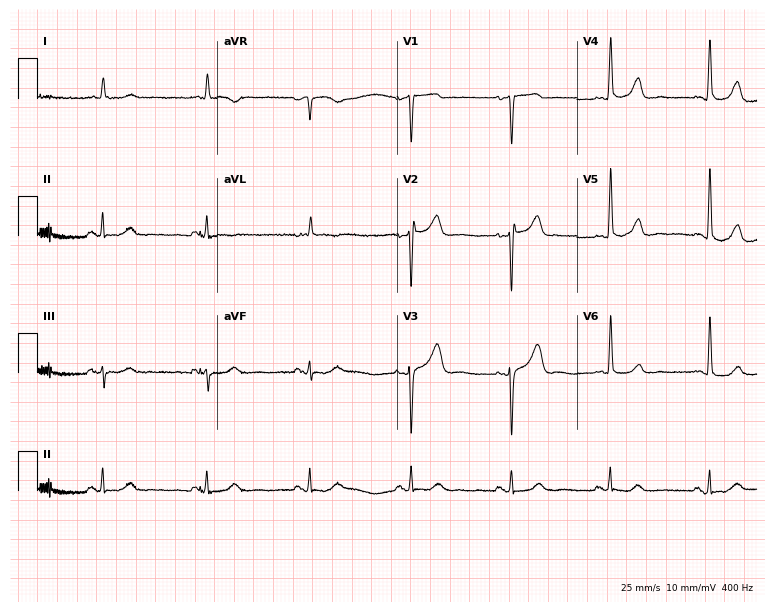
12-lead ECG from an 82-year-old man. Recorded interpretation: within normal limits.